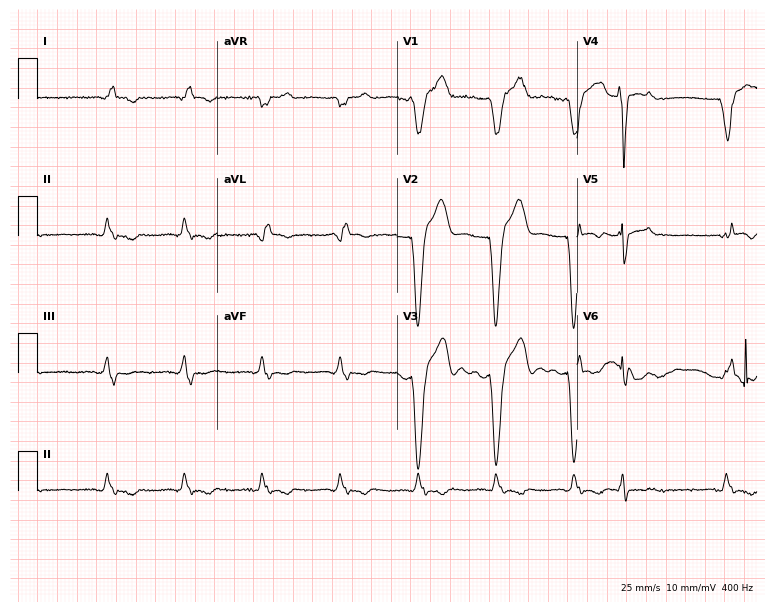
Electrocardiogram (7.3-second recording at 400 Hz), a 70-year-old male patient. Of the six screened findings (first-degree AV block, right bundle branch block (RBBB), left bundle branch block (LBBB), sinus bradycardia, atrial fibrillation (AF), sinus tachycardia), none is recorded.